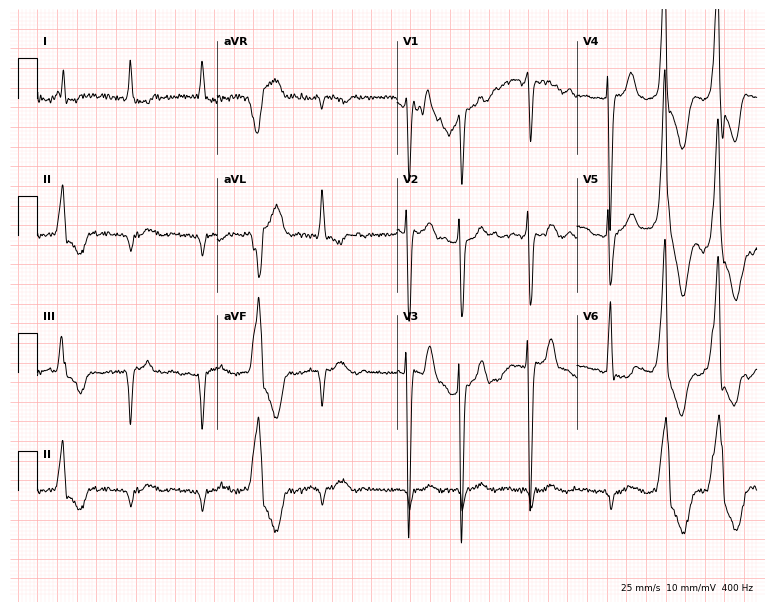
12-lead ECG from a man, 75 years old. No first-degree AV block, right bundle branch block, left bundle branch block, sinus bradycardia, atrial fibrillation or sinus tachycardia recorded for this tracing. Only these six findings were labelled.